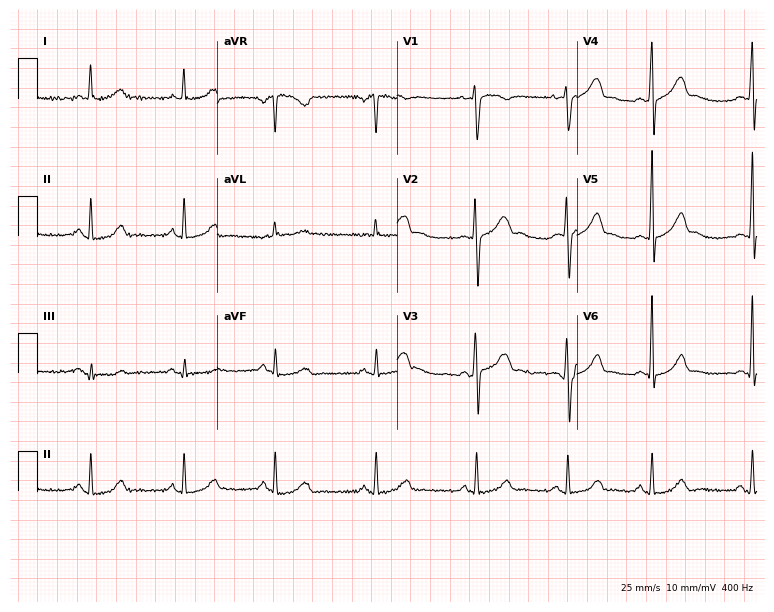
Resting 12-lead electrocardiogram (7.3-second recording at 400 Hz). Patient: a 29-year-old female. Read as a normal ECG.